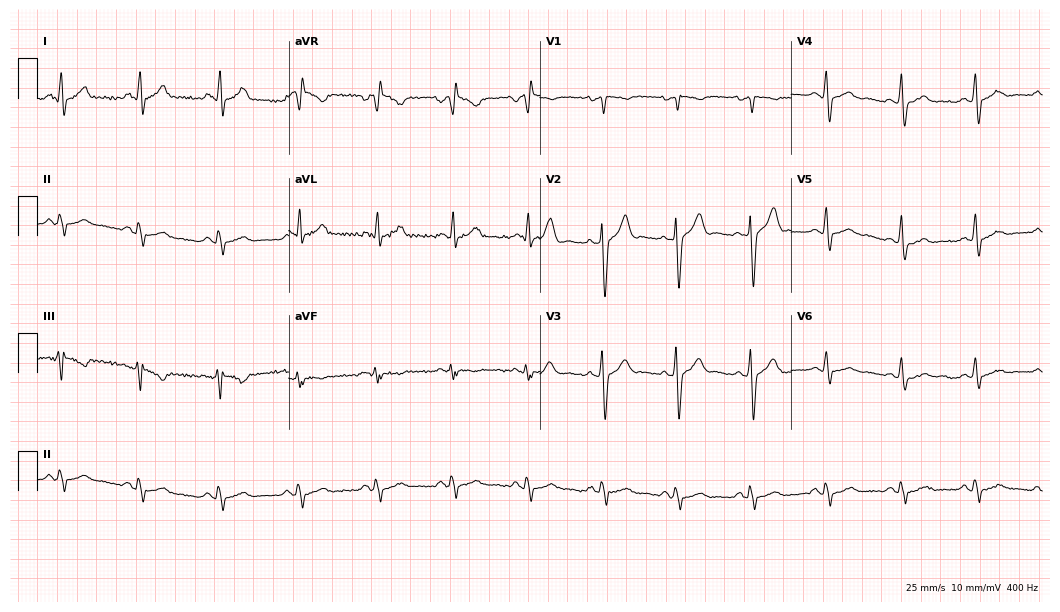
12-lead ECG from a male, 38 years old (10.2-second recording at 400 Hz). Recorded interpretation: within normal limits.